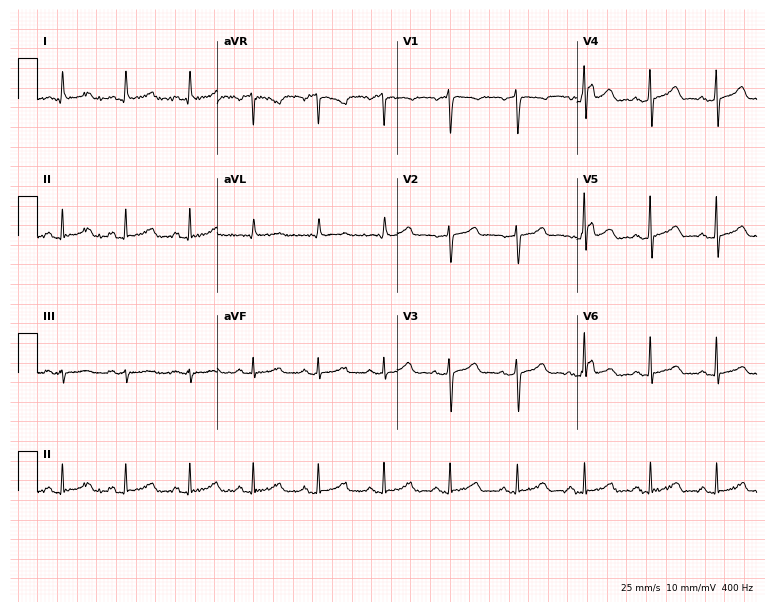
ECG — a woman, 57 years old. Labelled as a normal ECG.